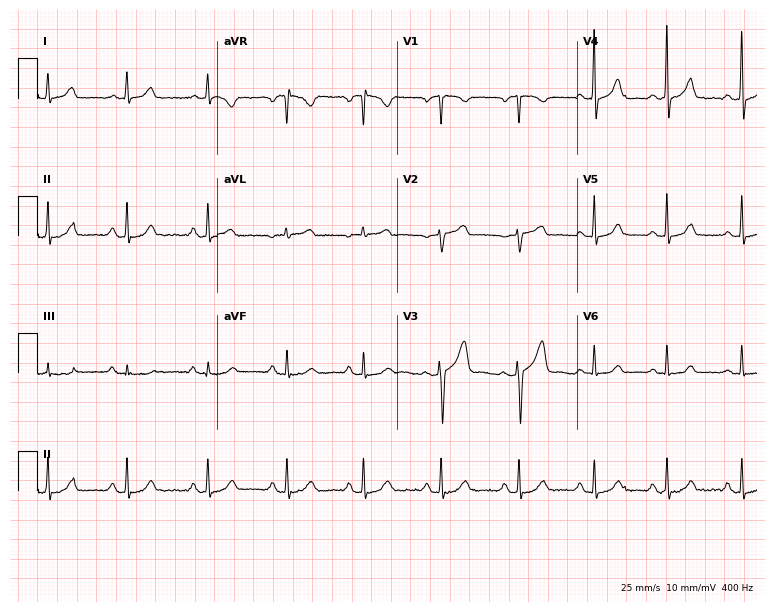
12-lead ECG from a 61-year-old female patient (7.3-second recording at 400 Hz). Recorded interpretation: within normal limits.